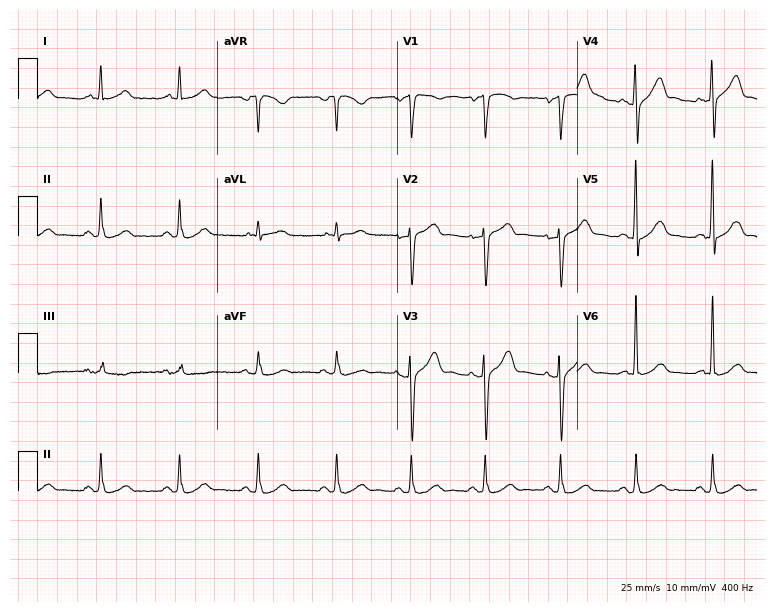
Electrocardiogram, a female patient, 64 years old. Overall reading on record: normal ECG.